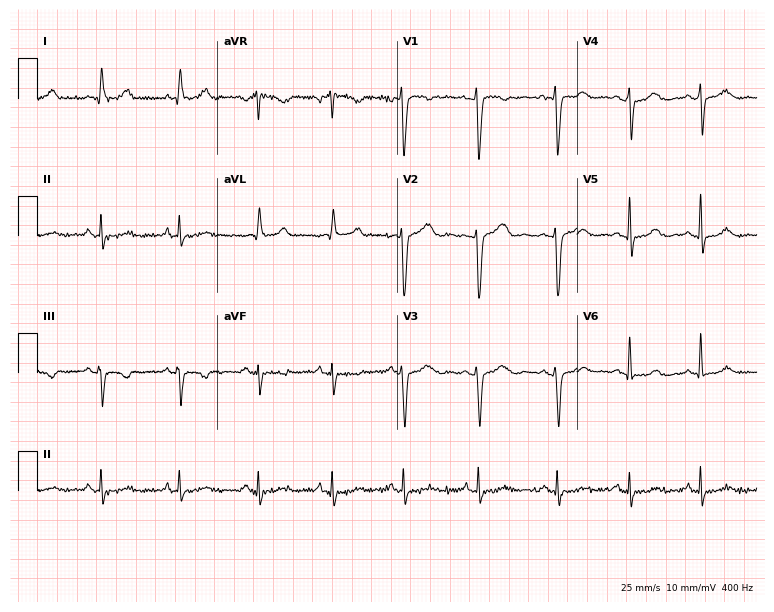
12-lead ECG from a female, 44 years old (7.3-second recording at 400 Hz). No first-degree AV block, right bundle branch block, left bundle branch block, sinus bradycardia, atrial fibrillation or sinus tachycardia recorded for this tracing. Findings outside these six are not listed.